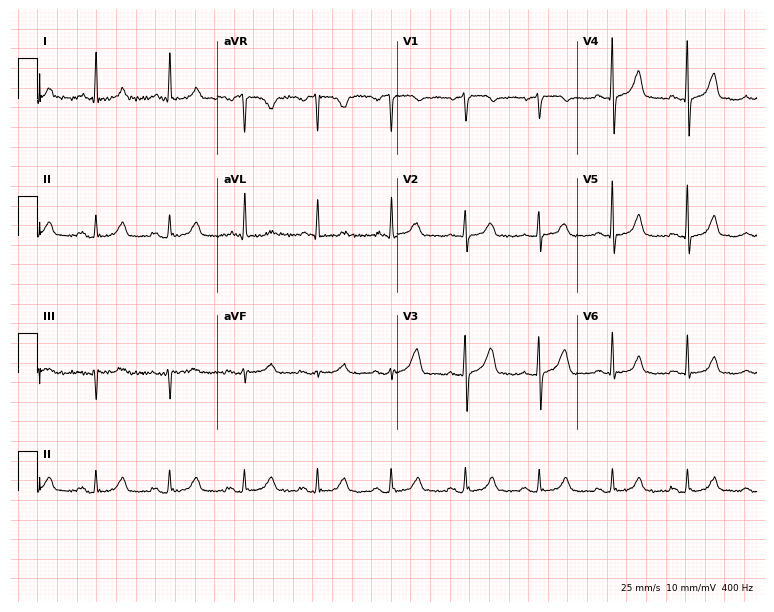
Standard 12-lead ECG recorded from a woman, 58 years old. None of these six findings is recorded: first-degree AV block, right bundle branch block (RBBB), left bundle branch block (LBBB), sinus bradycardia, atrial fibrillation (AF), sinus tachycardia. Only these six findings were labelled.